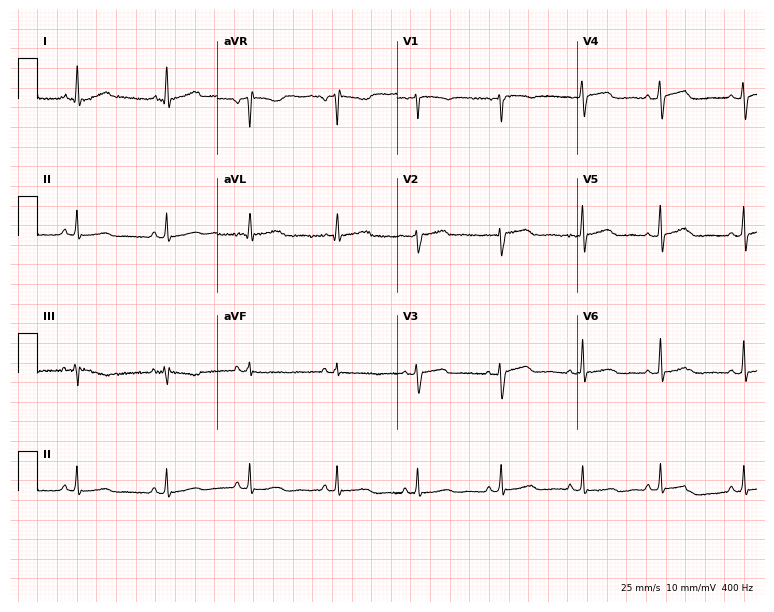
Electrocardiogram, a female, 37 years old. Overall reading on record: normal ECG.